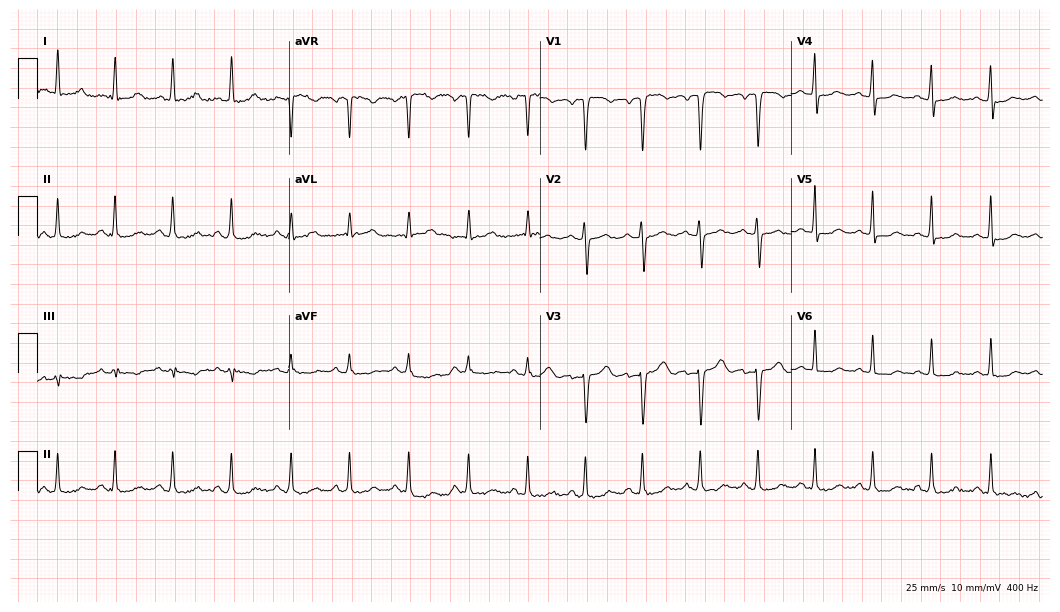
Electrocardiogram, a woman, 44 years old. Of the six screened findings (first-degree AV block, right bundle branch block (RBBB), left bundle branch block (LBBB), sinus bradycardia, atrial fibrillation (AF), sinus tachycardia), none is recorded.